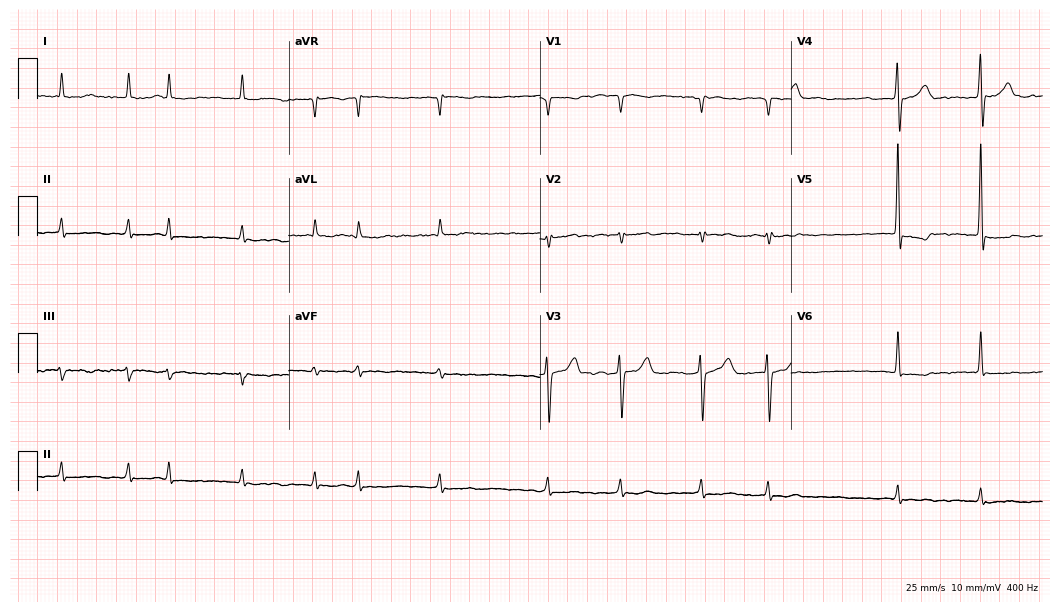
12-lead ECG (10.2-second recording at 400 Hz) from a male patient, 78 years old. Findings include atrial fibrillation.